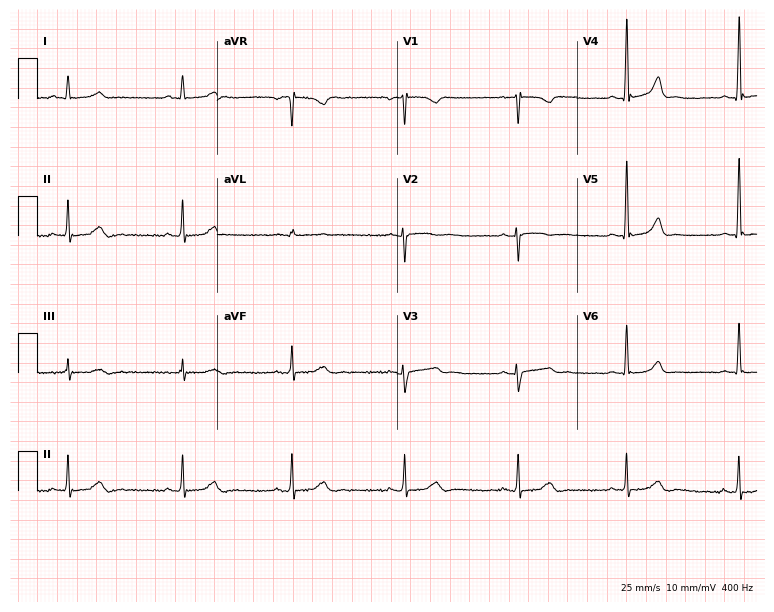
Resting 12-lead electrocardiogram (7.3-second recording at 400 Hz). Patient: a woman, 51 years old. None of these six findings is recorded: first-degree AV block, right bundle branch block, left bundle branch block, sinus bradycardia, atrial fibrillation, sinus tachycardia. Only these six findings were labelled.